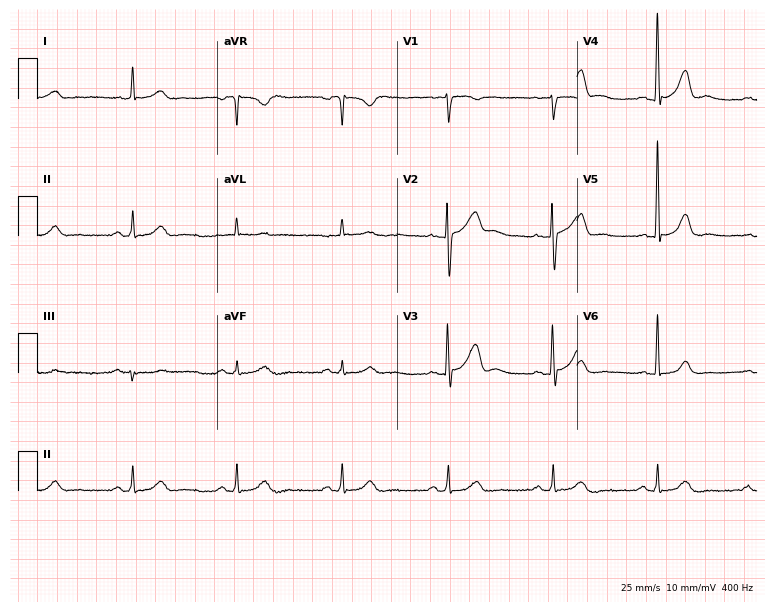
12-lead ECG from a 78-year-old male patient. Screened for six findings — first-degree AV block, right bundle branch block, left bundle branch block, sinus bradycardia, atrial fibrillation, sinus tachycardia — none is recorded. Findings outside these six are not listed.